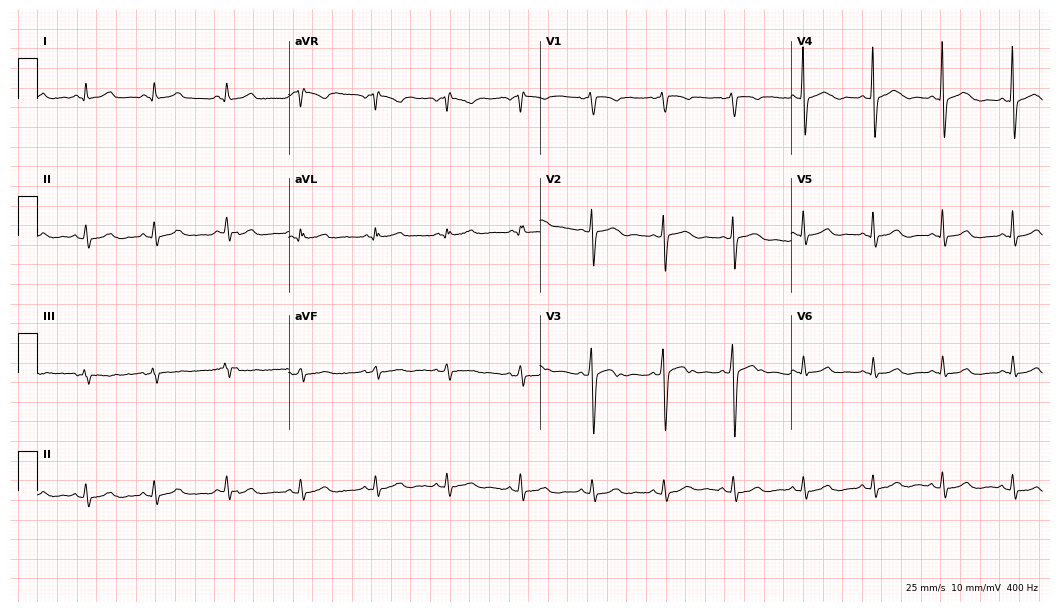
Standard 12-lead ECG recorded from a woman, 36 years old (10.2-second recording at 400 Hz). Read as a normal ECG.